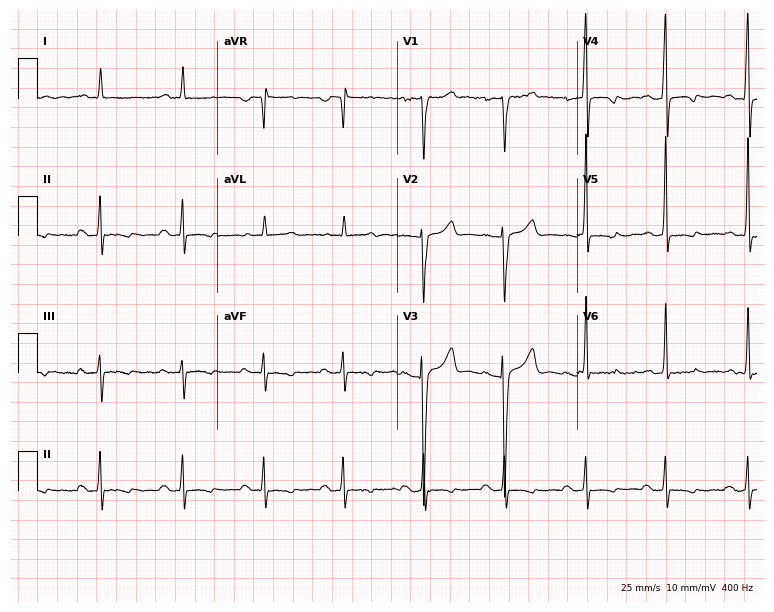
Standard 12-lead ECG recorded from a male, 40 years old. None of these six findings is recorded: first-degree AV block, right bundle branch block (RBBB), left bundle branch block (LBBB), sinus bradycardia, atrial fibrillation (AF), sinus tachycardia. Only these six findings were labelled.